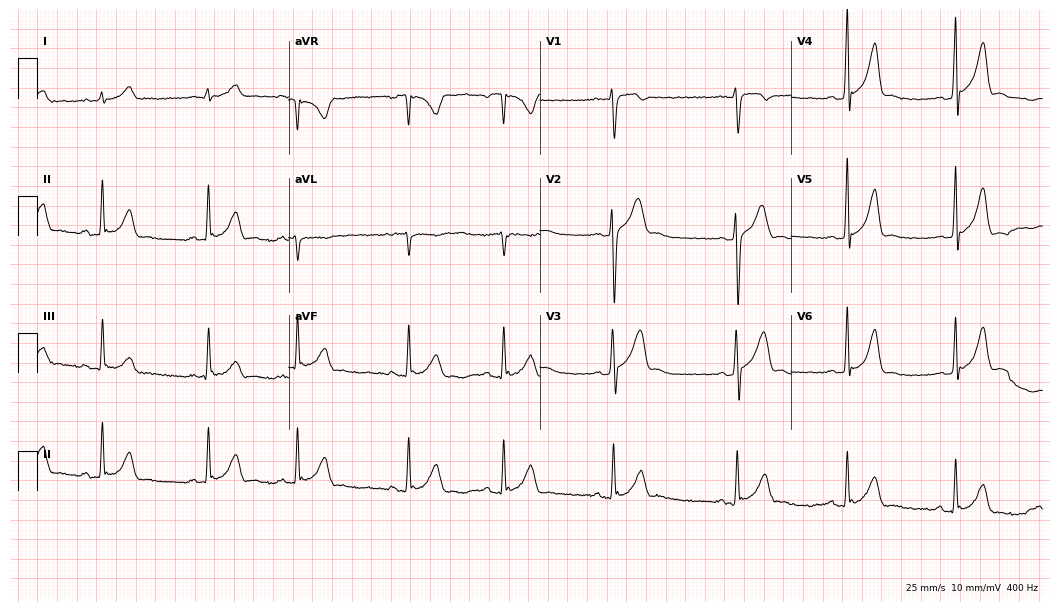
12-lead ECG from a 23-year-old man. Recorded interpretation: within normal limits.